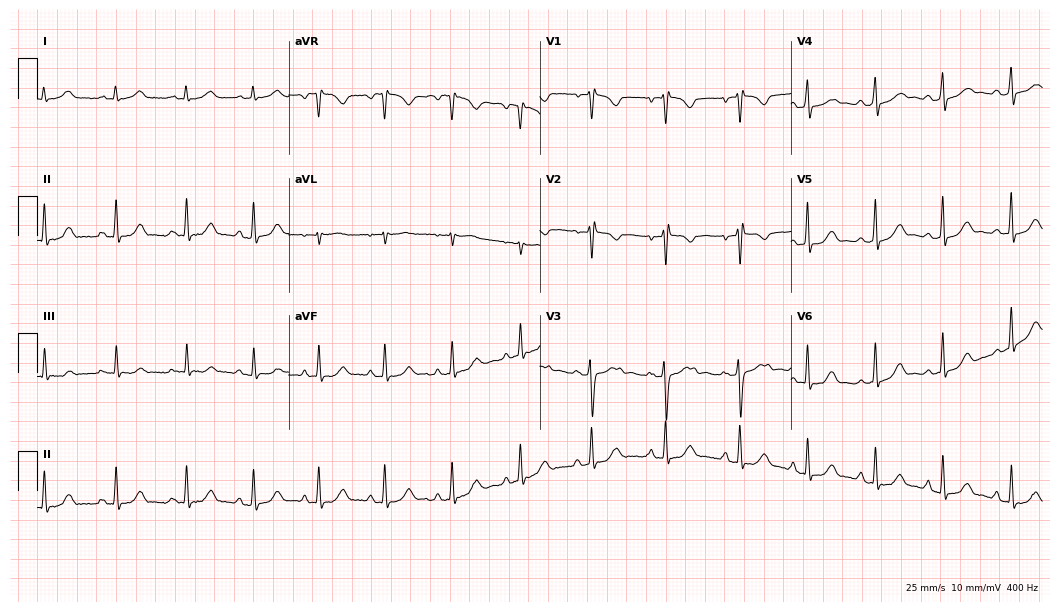
ECG (10.2-second recording at 400 Hz) — a 22-year-old female. Labelled as a normal ECG.